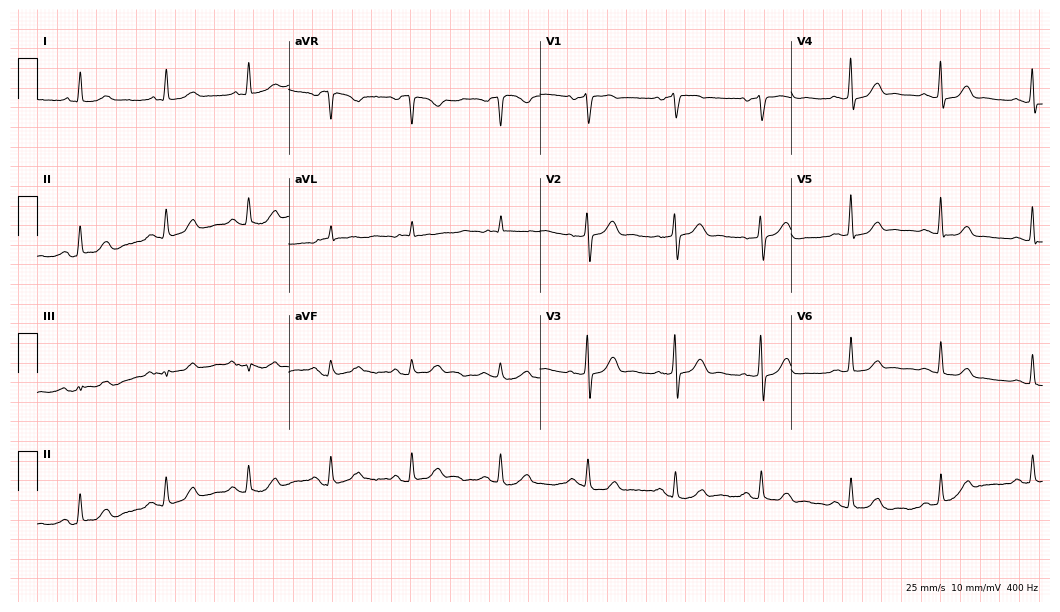
12-lead ECG (10.2-second recording at 400 Hz) from a 75-year-old male patient. Screened for six findings — first-degree AV block, right bundle branch block, left bundle branch block, sinus bradycardia, atrial fibrillation, sinus tachycardia — none is recorded. Findings outside these six are not listed.